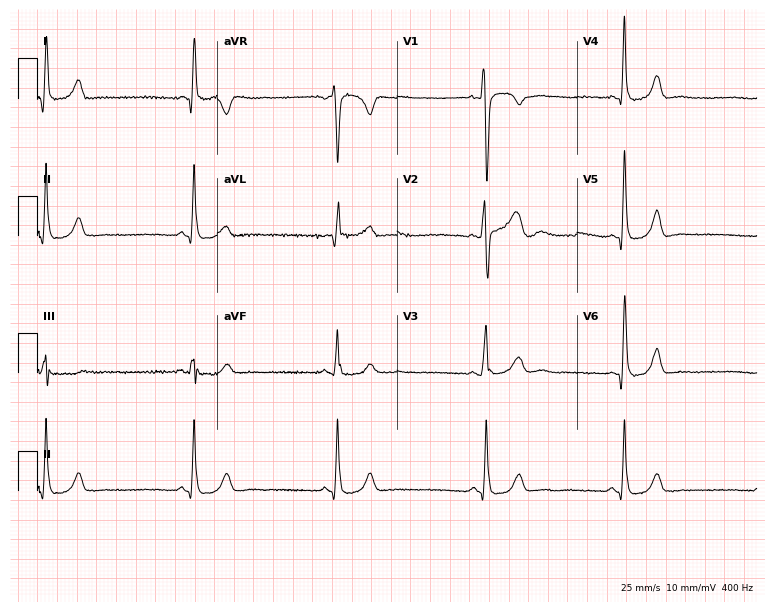
Resting 12-lead electrocardiogram (7.3-second recording at 400 Hz). Patient: a male, 40 years old. The tracing shows sinus bradycardia (a sinus rate of 50 beats per minute or less).